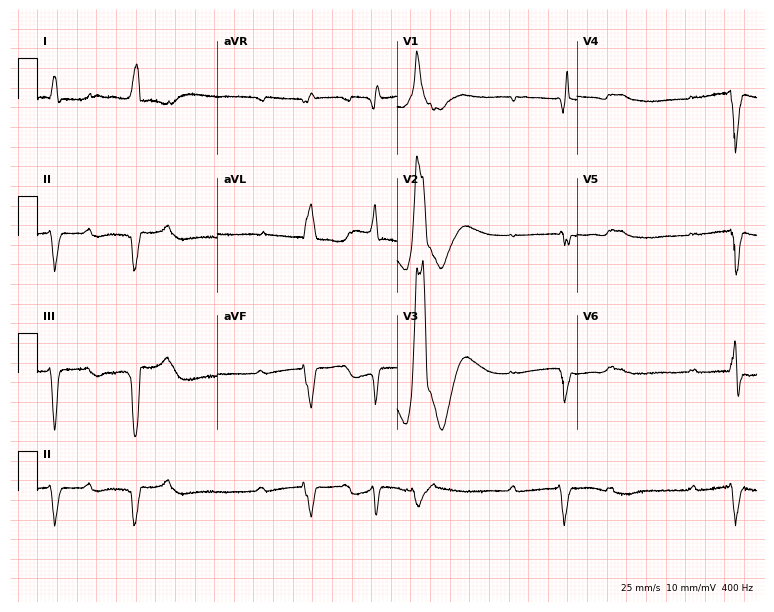
Resting 12-lead electrocardiogram (7.3-second recording at 400 Hz). Patient: a male, 86 years old. The tracing shows first-degree AV block, atrial fibrillation.